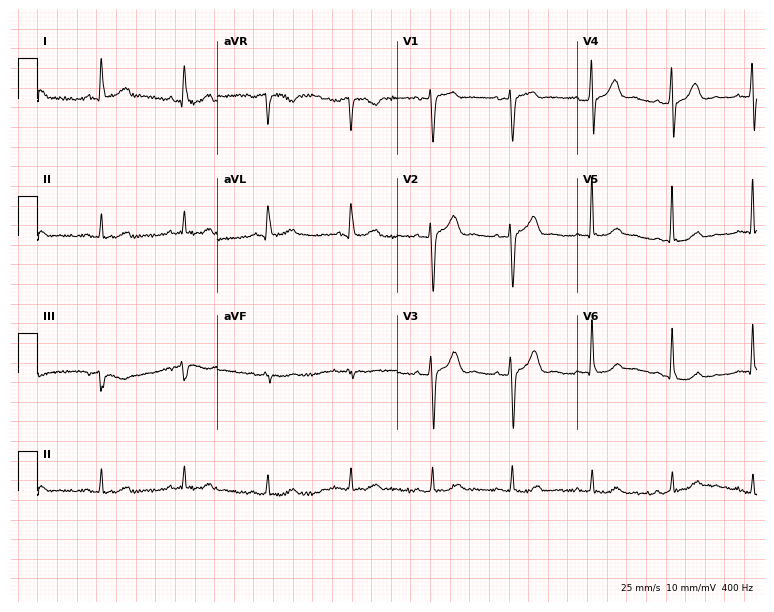
12-lead ECG from a 61-year-old male patient. Recorded interpretation: within normal limits.